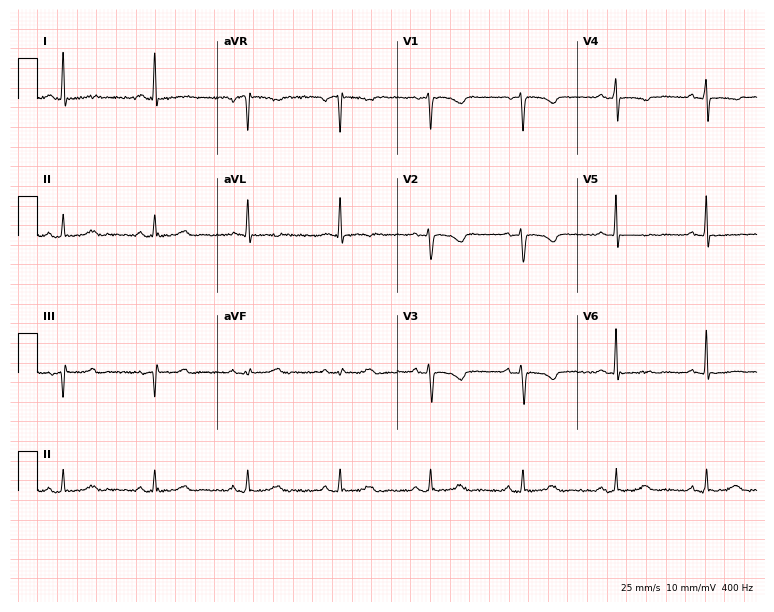
Standard 12-lead ECG recorded from a female, 78 years old (7.3-second recording at 400 Hz). None of these six findings is recorded: first-degree AV block, right bundle branch block, left bundle branch block, sinus bradycardia, atrial fibrillation, sinus tachycardia. Findings outside these six are not listed.